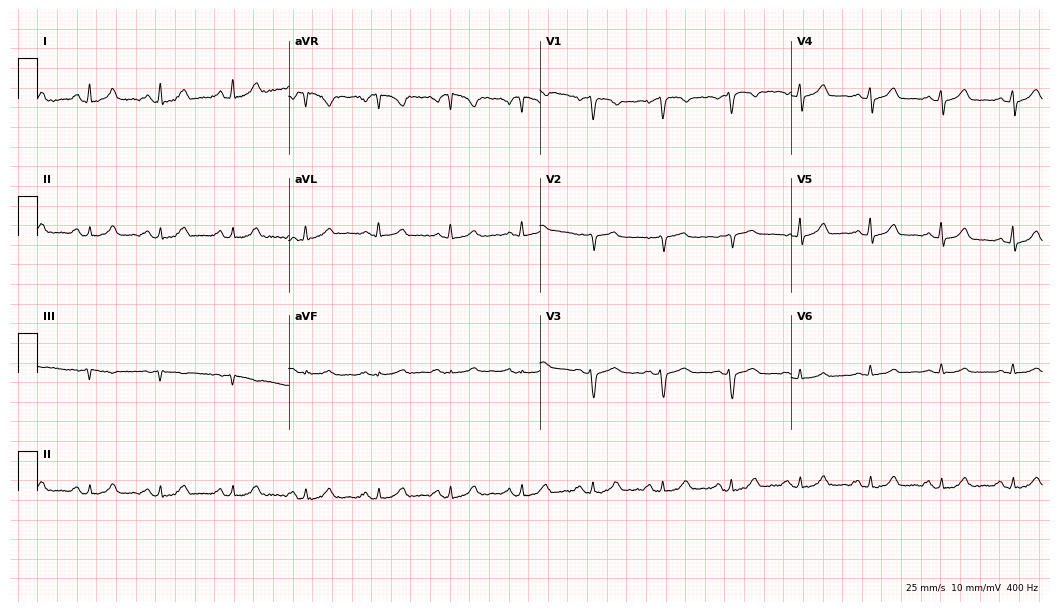
Resting 12-lead electrocardiogram. Patient: a 51-year-old female. Read as a normal ECG.